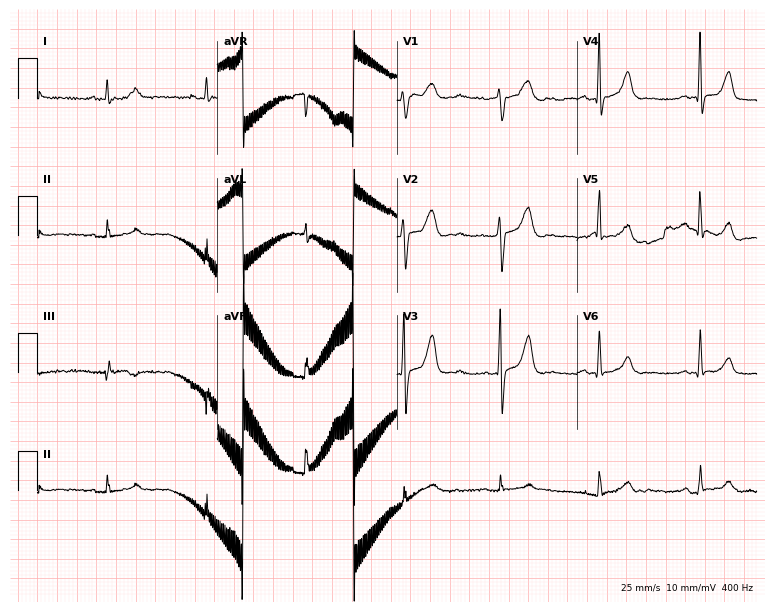
ECG — a woman, 71 years old. Screened for six findings — first-degree AV block, right bundle branch block (RBBB), left bundle branch block (LBBB), sinus bradycardia, atrial fibrillation (AF), sinus tachycardia — none is recorded.